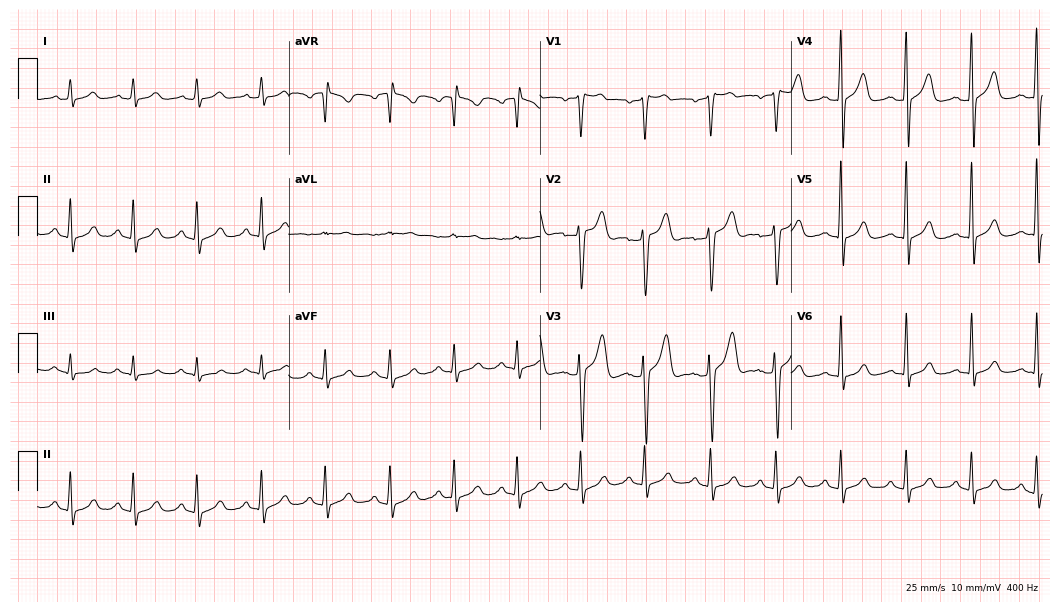
Standard 12-lead ECG recorded from a male, 25 years old (10.2-second recording at 400 Hz). Read as a normal ECG.